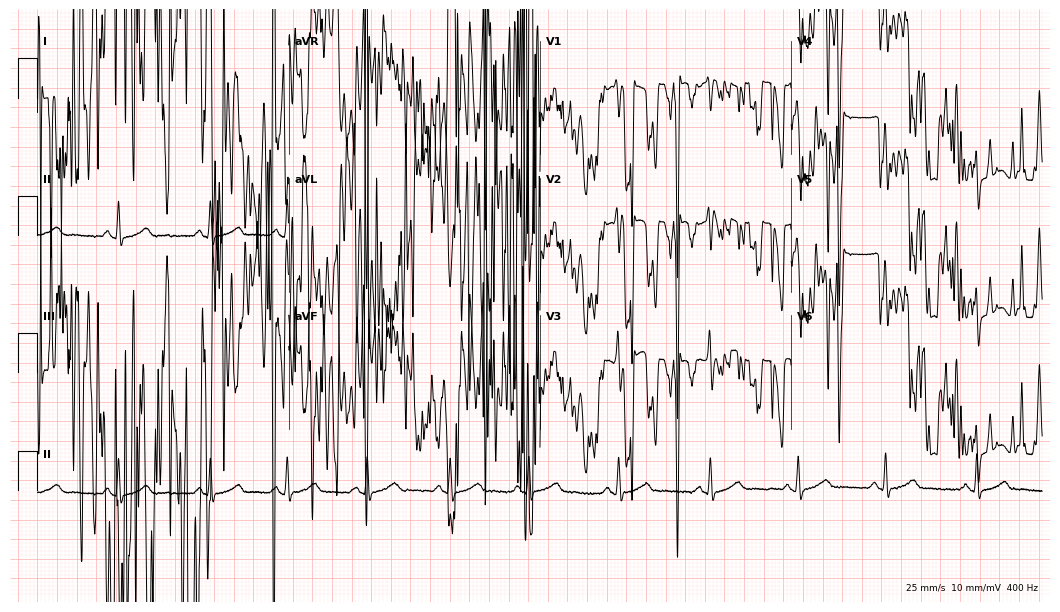
12-lead ECG from a 33-year-old man. No first-degree AV block, right bundle branch block (RBBB), left bundle branch block (LBBB), sinus bradycardia, atrial fibrillation (AF) or sinus tachycardia recorded for this tracing. Other findings, if any, are not listed.